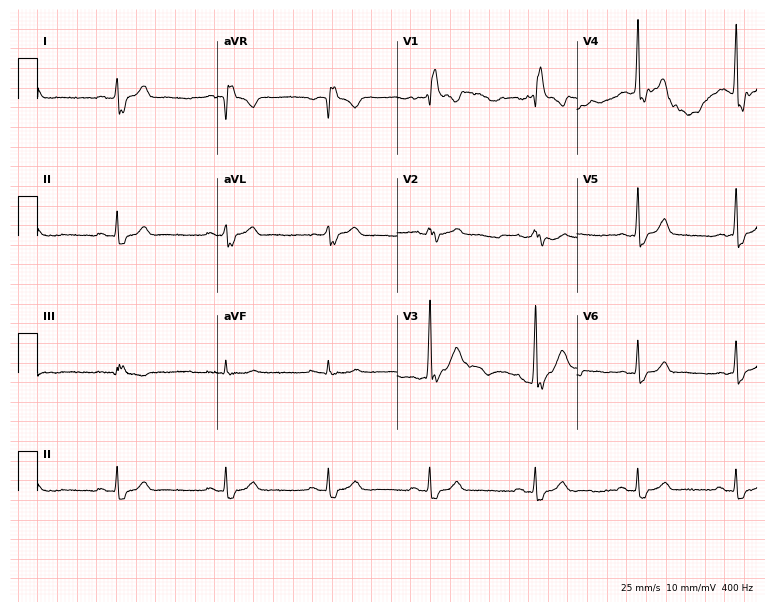
Electrocardiogram, a male patient, 66 years old. Interpretation includes right bundle branch block (RBBB).